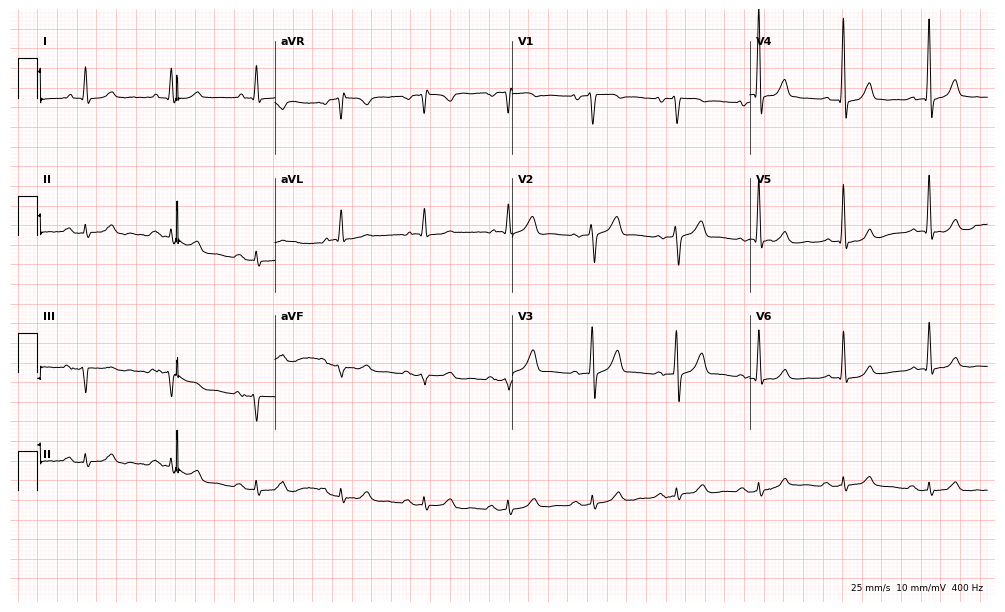
ECG (9.7-second recording at 400 Hz) — a 65-year-old female. Screened for six findings — first-degree AV block, right bundle branch block (RBBB), left bundle branch block (LBBB), sinus bradycardia, atrial fibrillation (AF), sinus tachycardia — none is recorded.